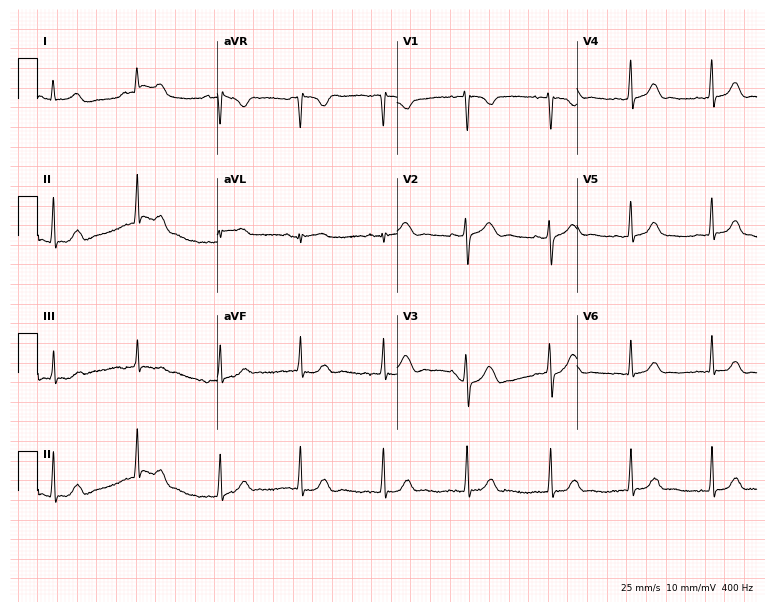
ECG — a 33-year-old female. Labelled as a normal ECG.